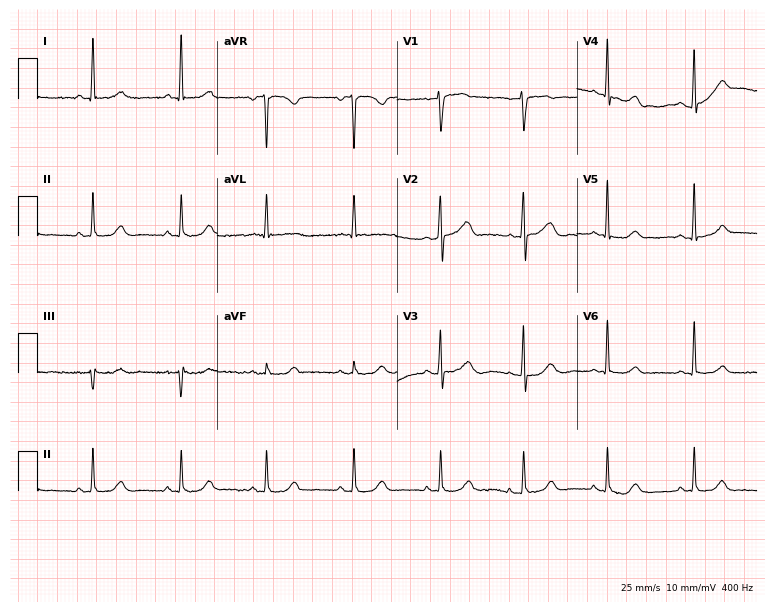
12-lead ECG from a woman, 58 years old. Labelled as a normal ECG.